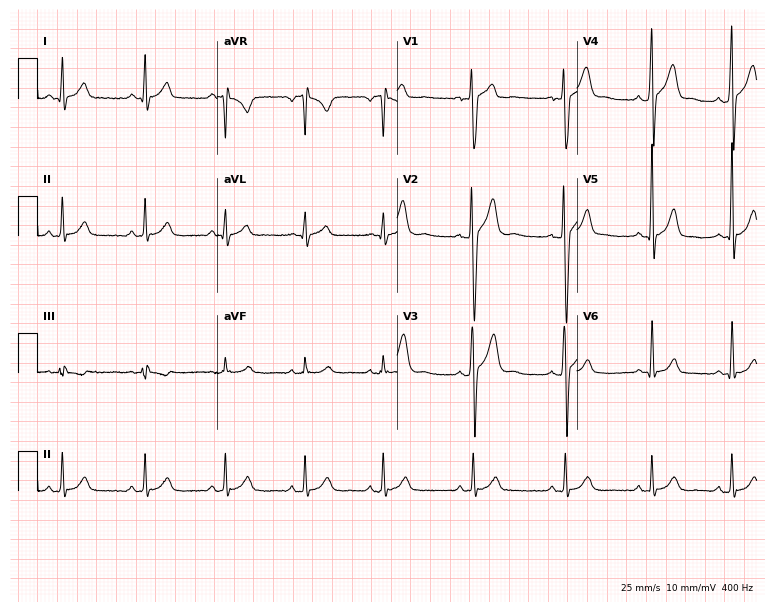
12-lead ECG from a man, 20 years old. No first-degree AV block, right bundle branch block (RBBB), left bundle branch block (LBBB), sinus bradycardia, atrial fibrillation (AF) or sinus tachycardia recorded for this tracing.